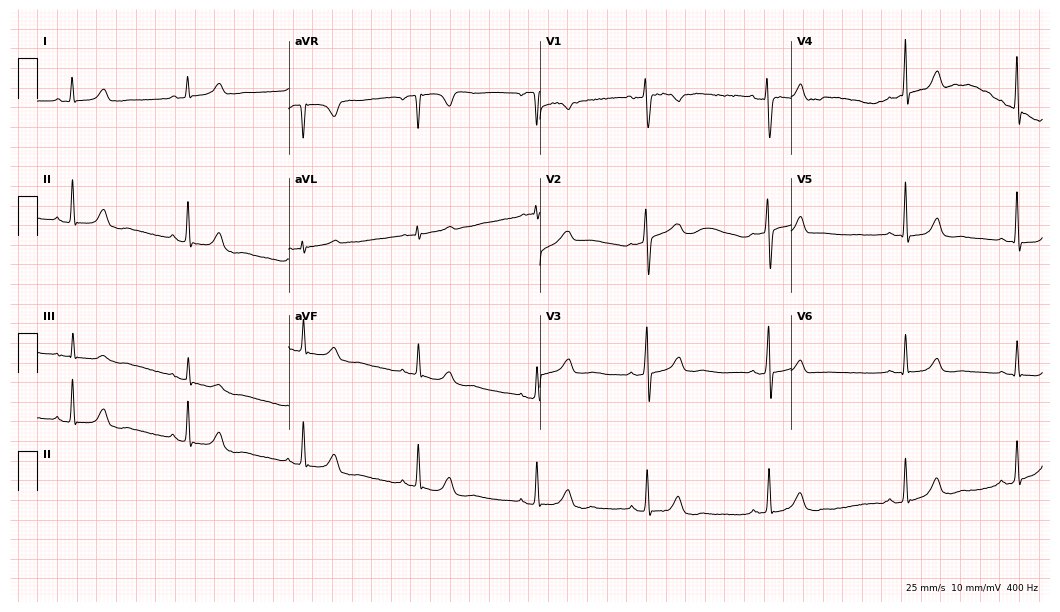
Standard 12-lead ECG recorded from a woman, 29 years old (10.2-second recording at 400 Hz). Read as a normal ECG.